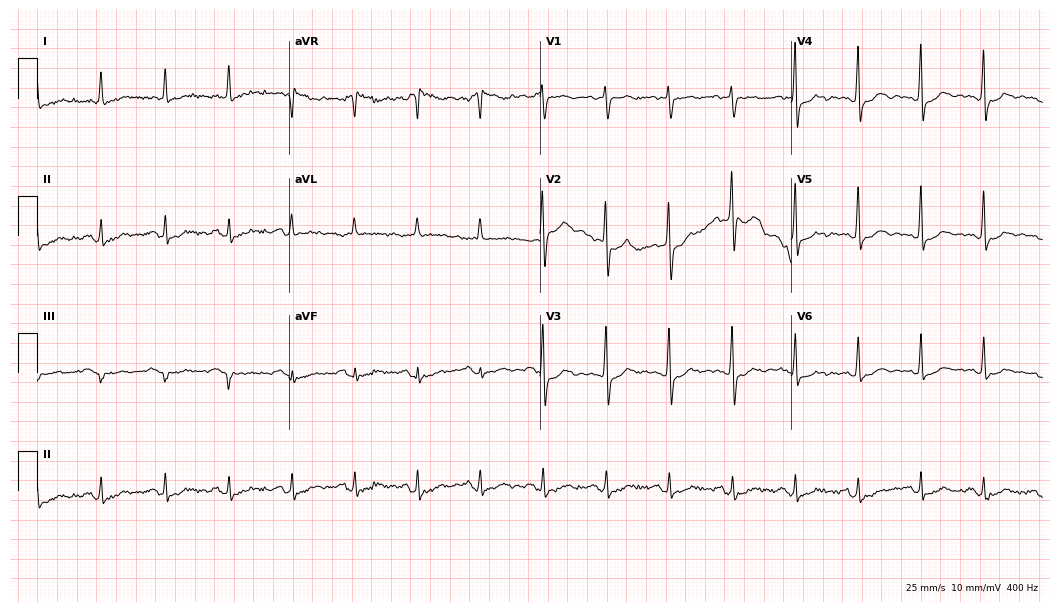
Electrocardiogram, a 75-year-old woman. Of the six screened findings (first-degree AV block, right bundle branch block, left bundle branch block, sinus bradycardia, atrial fibrillation, sinus tachycardia), none is recorded.